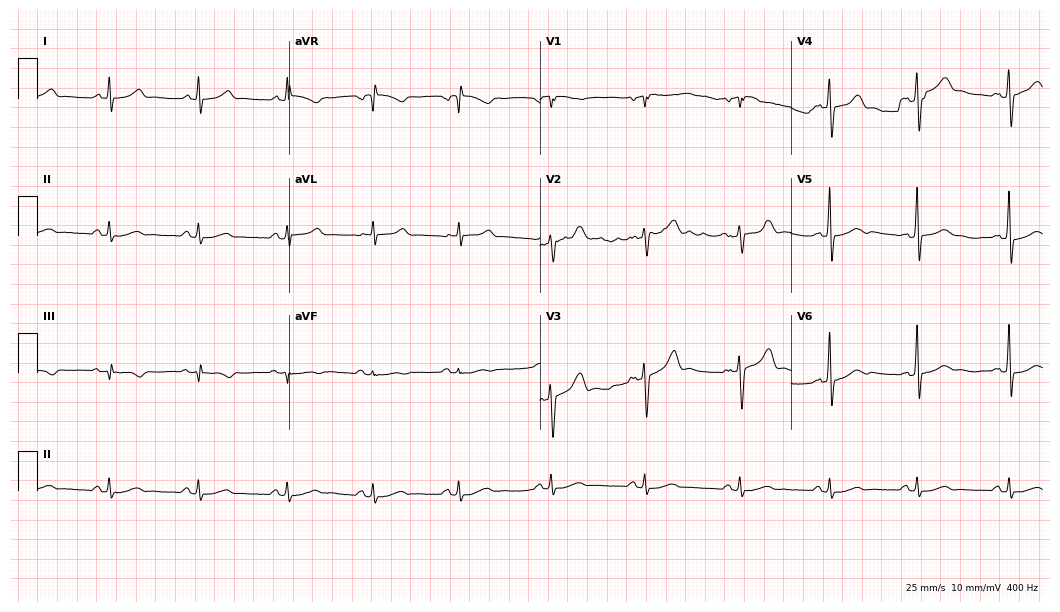
Resting 12-lead electrocardiogram. Patient: a 40-year-old male. Read as a normal ECG.